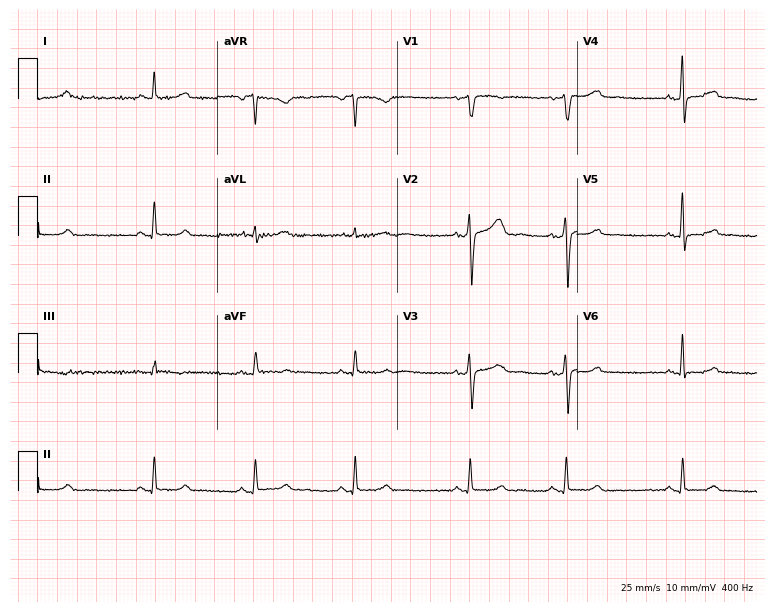
12-lead ECG from a 38-year-old woman. Recorded interpretation: within normal limits.